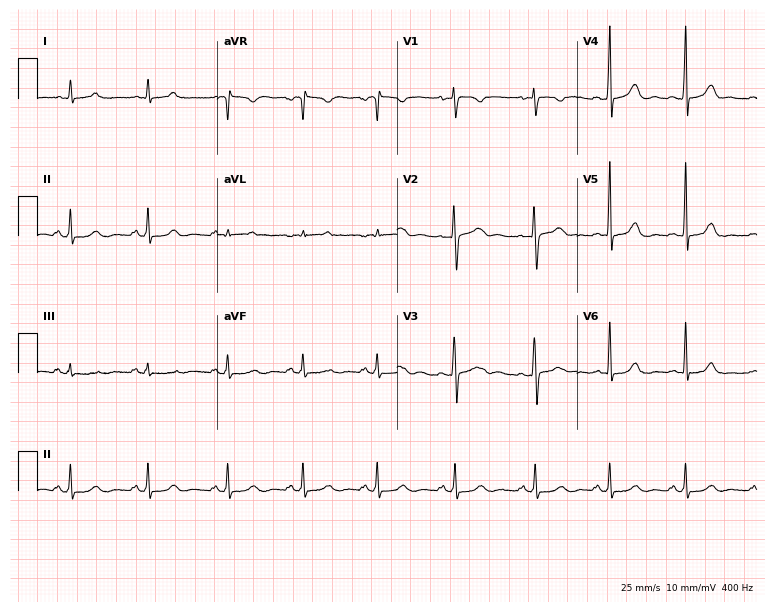
Resting 12-lead electrocardiogram. Patient: a female, 25 years old. None of these six findings is recorded: first-degree AV block, right bundle branch block, left bundle branch block, sinus bradycardia, atrial fibrillation, sinus tachycardia.